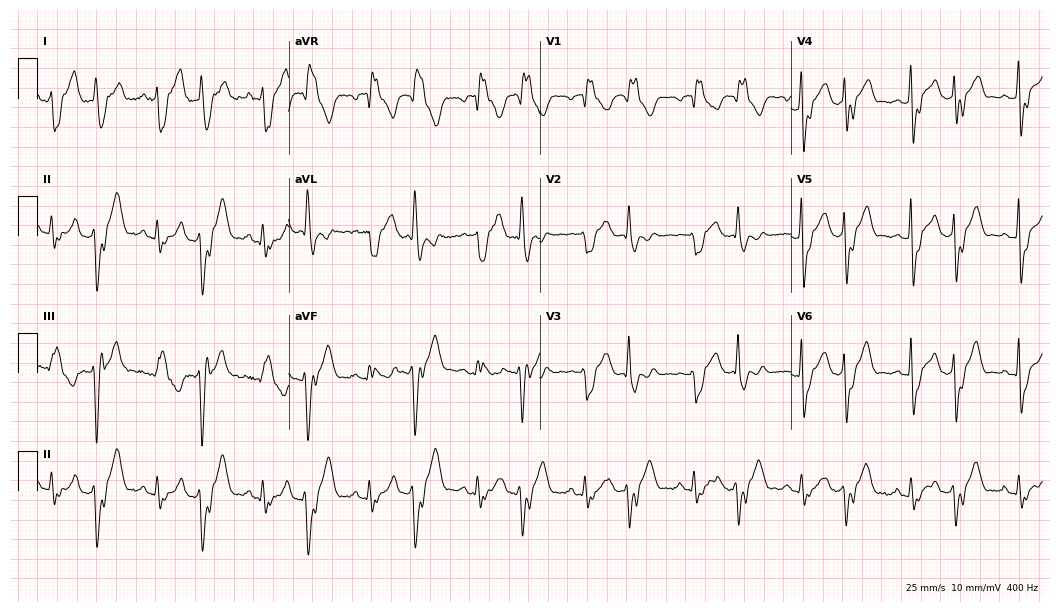
12-lead ECG from a 32-year-old male patient. Screened for six findings — first-degree AV block, right bundle branch block (RBBB), left bundle branch block (LBBB), sinus bradycardia, atrial fibrillation (AF), sinus tachycardia — none is recorded. Only these six findings were labelled.